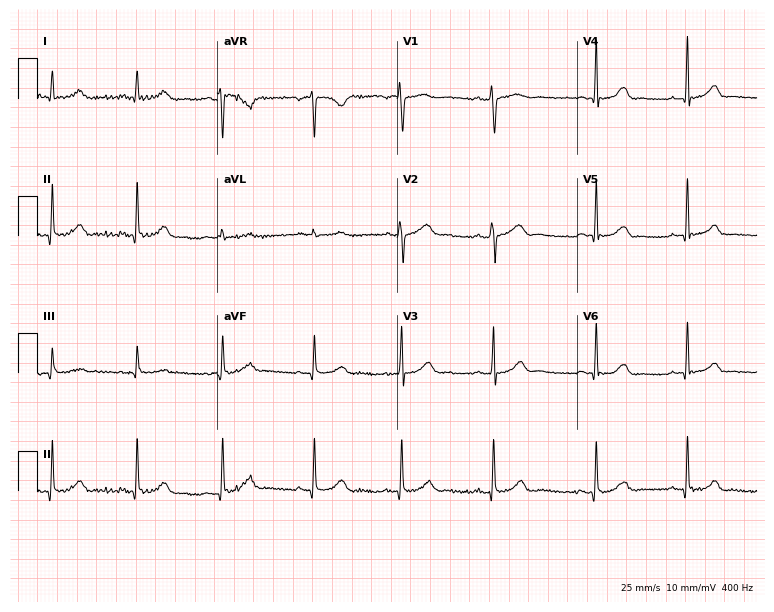
Resting 12-lead electrocardiogram (7.3-second recording at 400 Hz). Patient: a female, 36 years old. Read as a normal ECG.